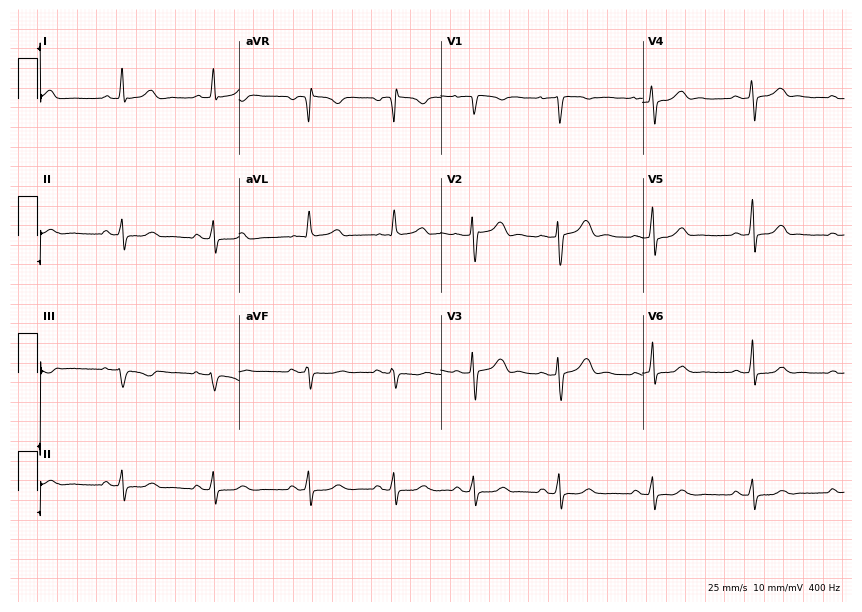
Electrocardiogram, a woman, 37 years old. Of the six screened findings (first-degree AV block, right bundle branch block (RBBB), left bundle branch block (LBBB), sinus bradycardia, atrial fibrillation (AF), sinus tachycardia), none is recorded.